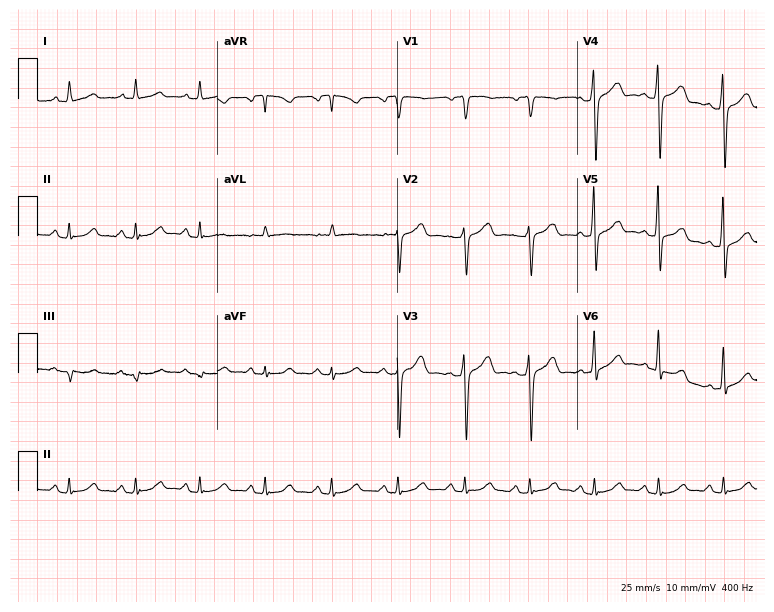
ECG — a 50-year-old male. Labelled as a normal ECG.